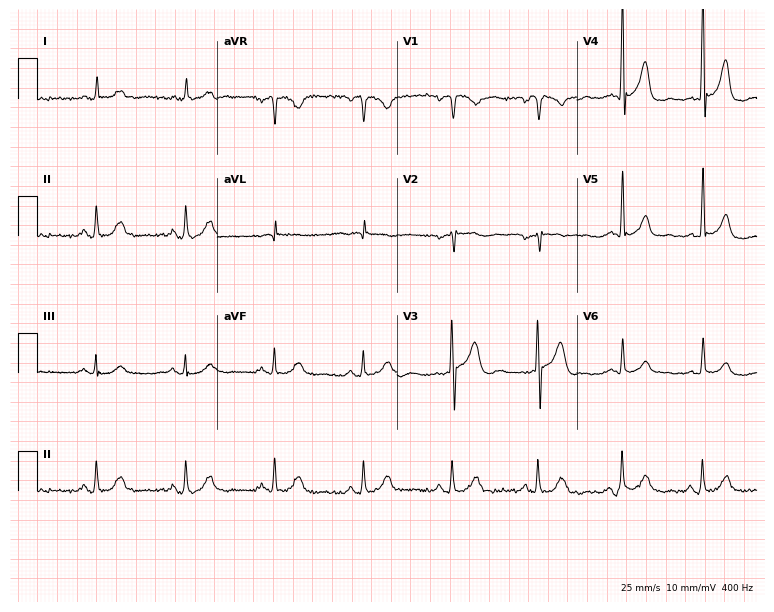
Electrocardiogram, a 57-year-old male patient. Of the six screened findings (first-degree AV block, right bundle branch block, left bundle branch block, sinus bradycardia, atrial fibrillation, sinus tachycardia), none is recorded. Other findings, if any, are not listed.